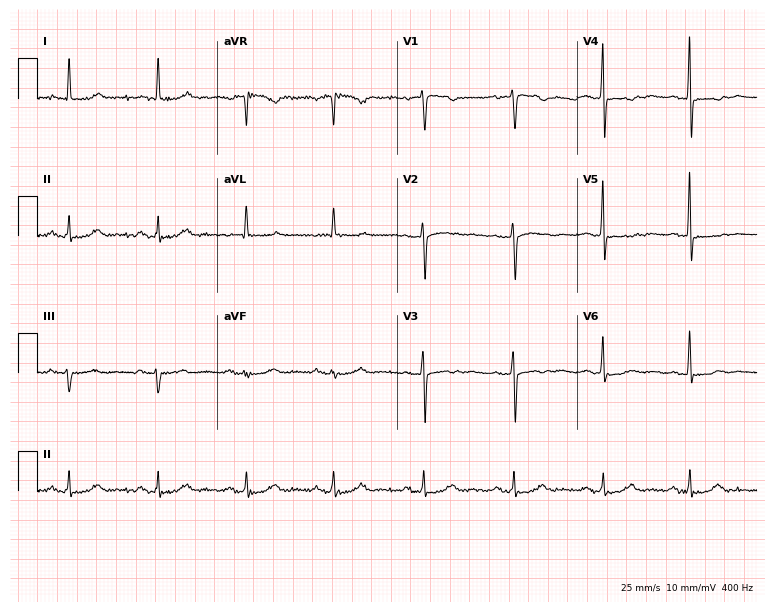
12-lead ECG from a 76-year-old female patient (7.3-second recording at 400 Hz). No first-degree AV block, right bundle branch block (RBBB), left bundle branch block (LBBB), sinus bradycardia, atrial fibrillation (AF) or sinus tachycardia recorded for this tracing.